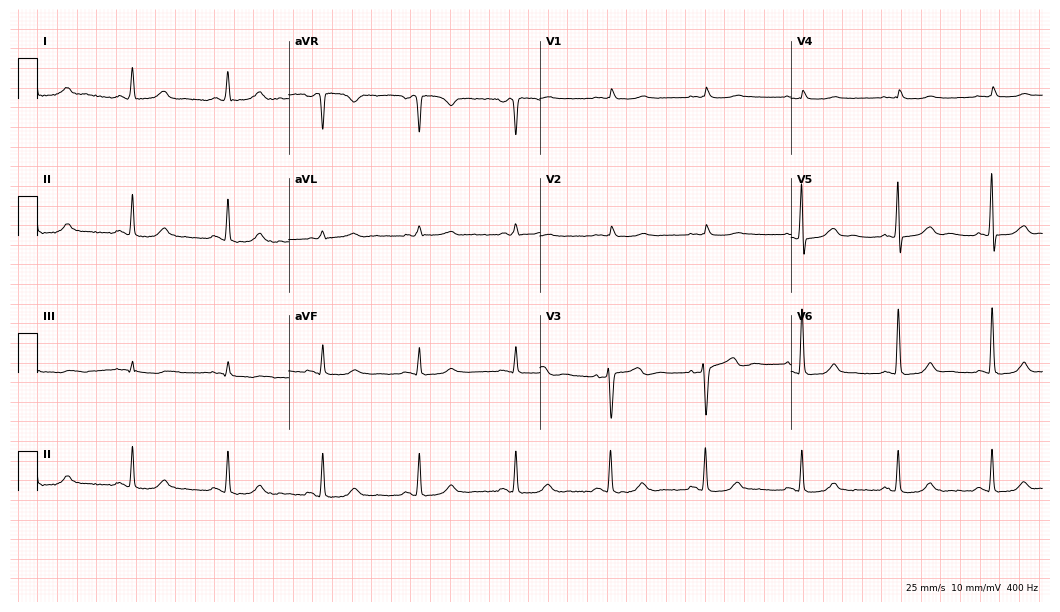
12-lead ECG (10.2-second recording at 400 Hz) from a 58-year-old woman. Labelled as a normal ECG.